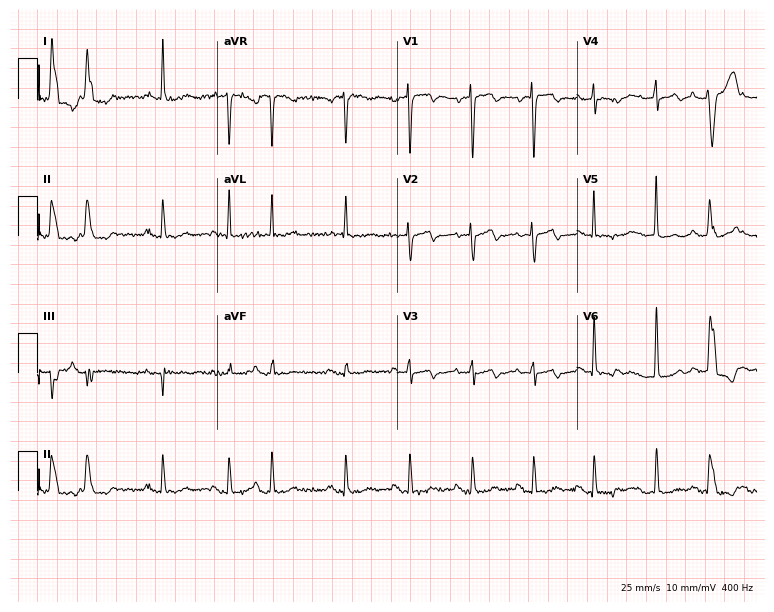
Resting 12-lead electrocardiogram (7.3-second recording at 400 Hz). Patient: a woman, 85 years old. None of these six findings is recorded: first-degree AV block, right bundle branch block (RBBB), left bundle branch block (LBBB), sinus bradycardia, atrial fibrillation (AF), sinus tachycardia.